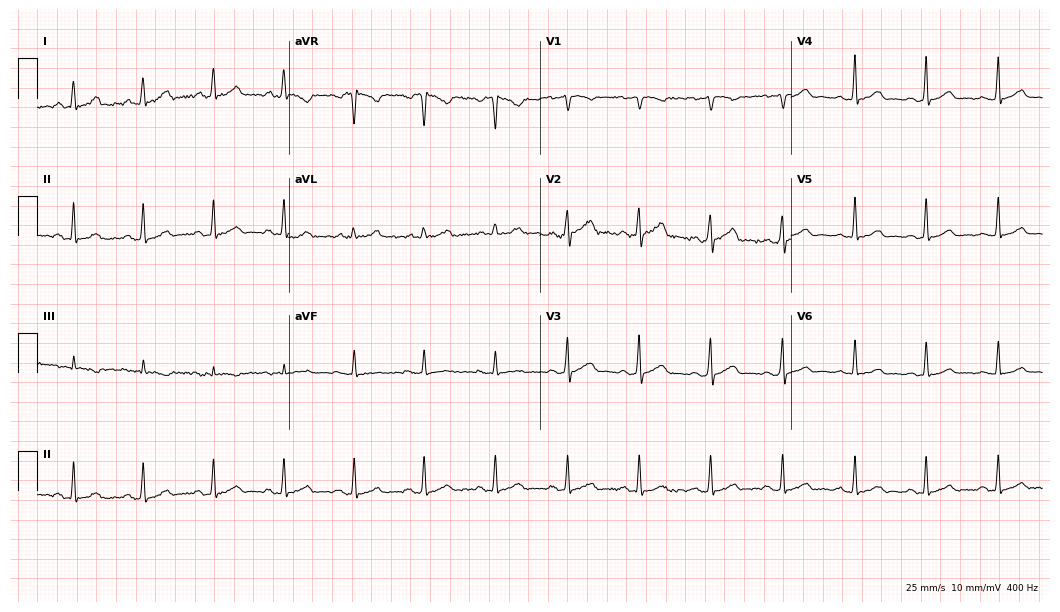
Electrocardiogram (10.2-second recording at 400 Hz), a 47-year-old woman. Overall reading on record: normal ECG.